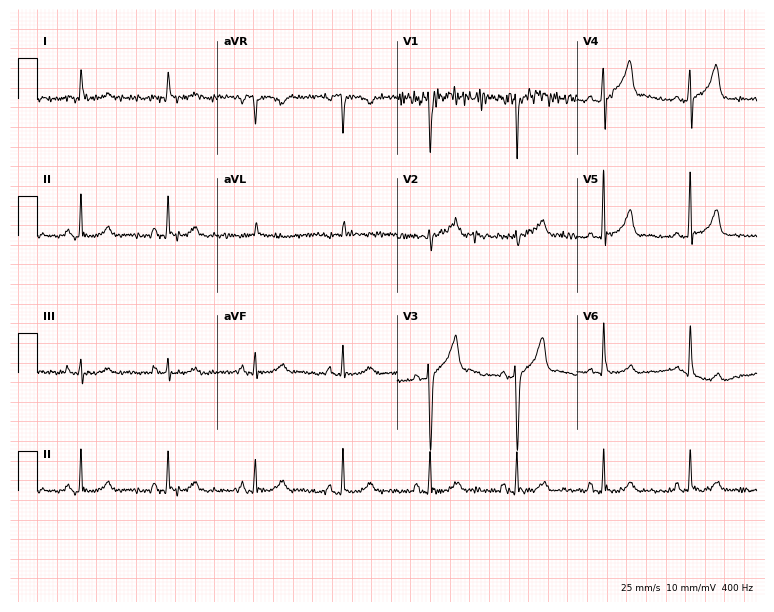
12-lead ECG from a man, 75 years old. Screened for six findings — first-degree AV block, right bundle branch block, left bundle branch block, sinus bradycardia, atrial fibrillation, sinus tachycardia — none is recorded.